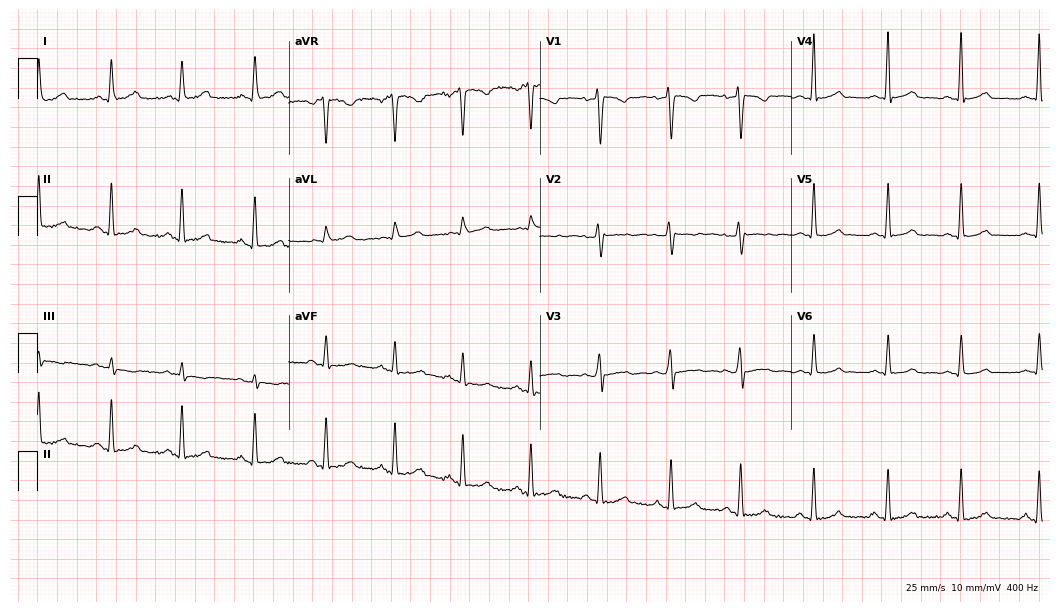
12-lead ECG (10.2-second recording at 400 Hz) from a 33-year-old woman. Labelled as a normal ECG.